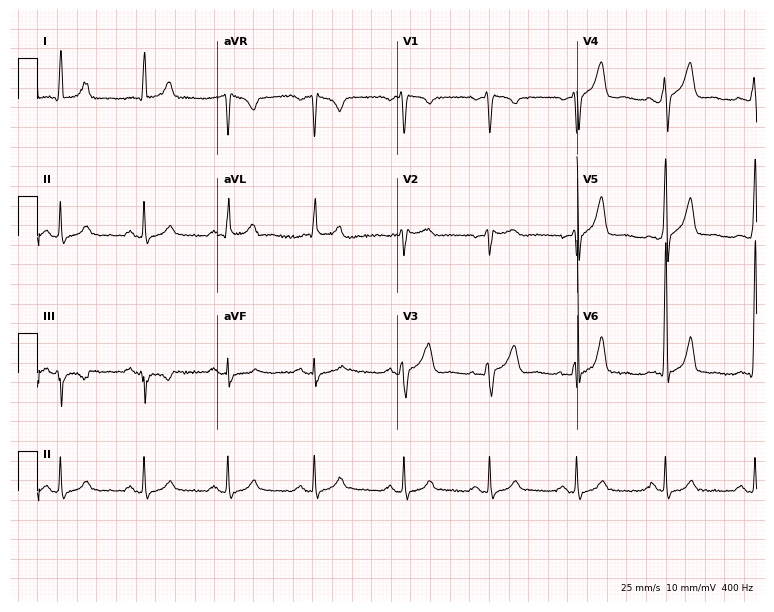
12-lead ECG from a man, 46 years old (7.3-second recording at 400 Hz). No first-degree AV block, right bundle branch block, left bundle branch block, sinus bradycardia, atrial fibrillation or sinus tachycardia recorded for this tracing. Only these six findings were labelled.